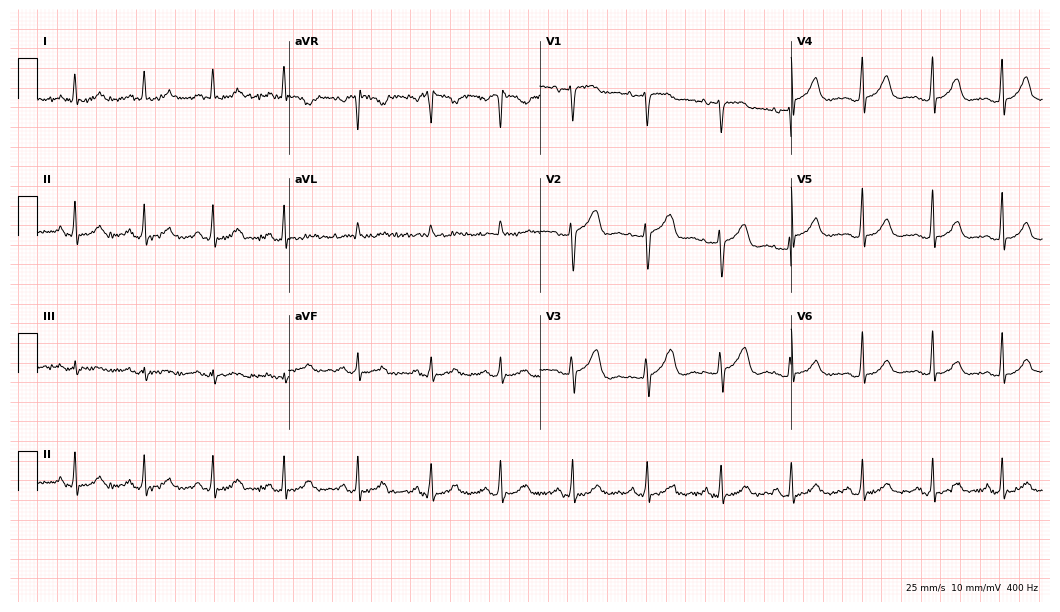
12-lead ECG from a 55-year-old female (10.2-second recording at 400 Hz). Recorded interpretation: within normal limits.